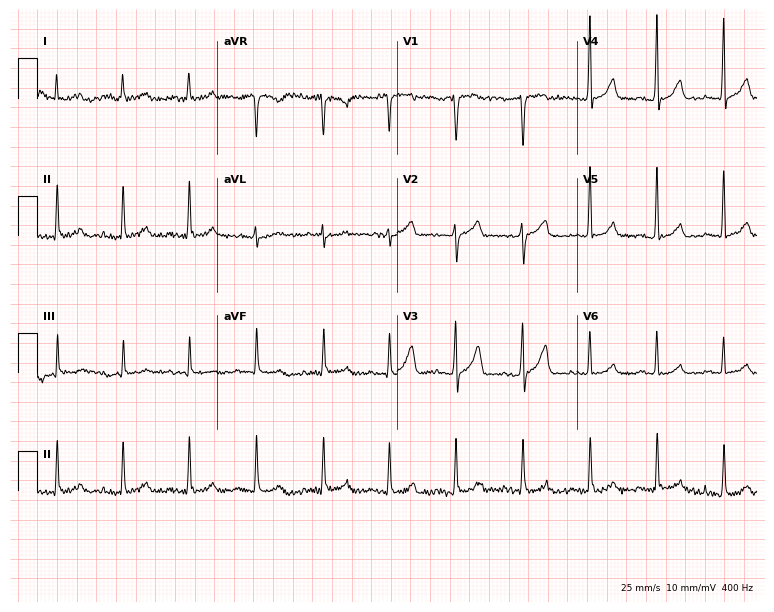
12-lead ECG (7.3-second recording at 400 Hz) from a male patient, 56 years old. Labelled as a normal ECG.